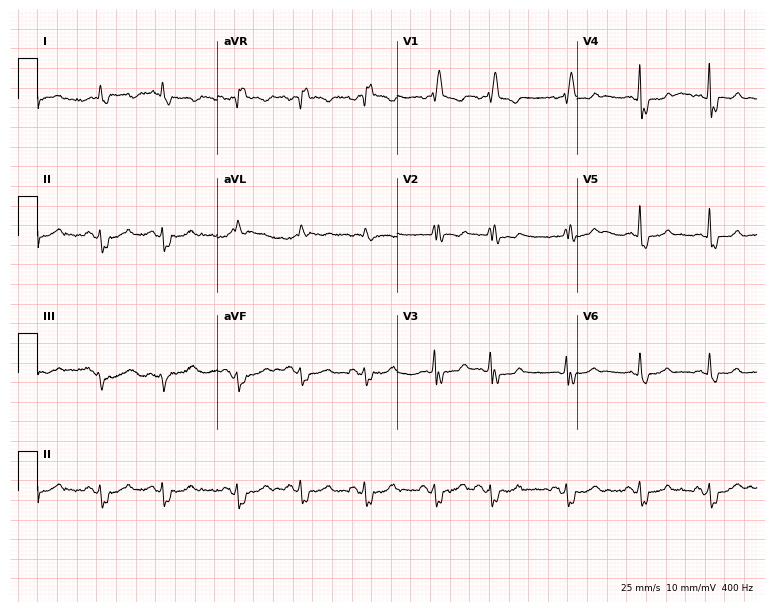
Electrocardiogram, a male, 80 years old. Interpretation includes right bundle branch block (RBBB).